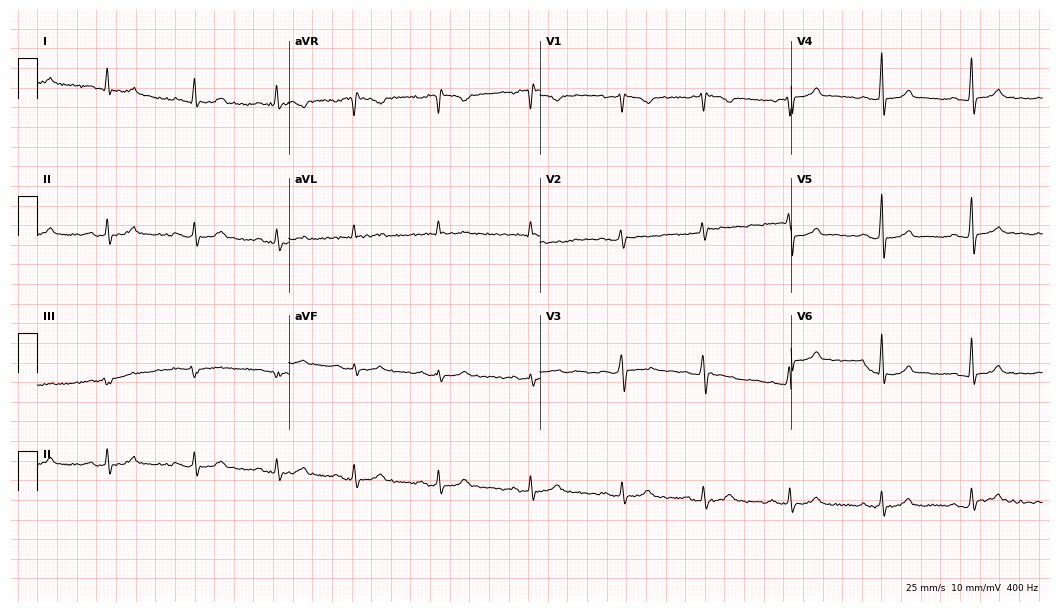
Electrocardiogram, a 54-year-old man. Of the six screened findings (first-degree AV block, right bundle branch block (RBBB), left bundle branch block (LBBB), sinus bradycardia, atrial fibrillation (AF), sinus tachycardia), none is recorded.